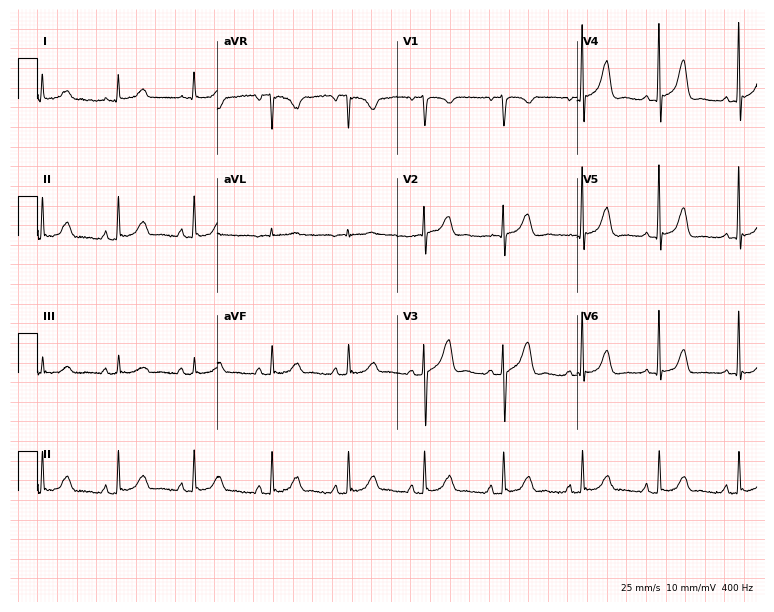
Resting 12-lead electrocardiogram (7.3-second recording at 400 Hz). Patient: a 61-year-old woman. Read as a normal ECG.